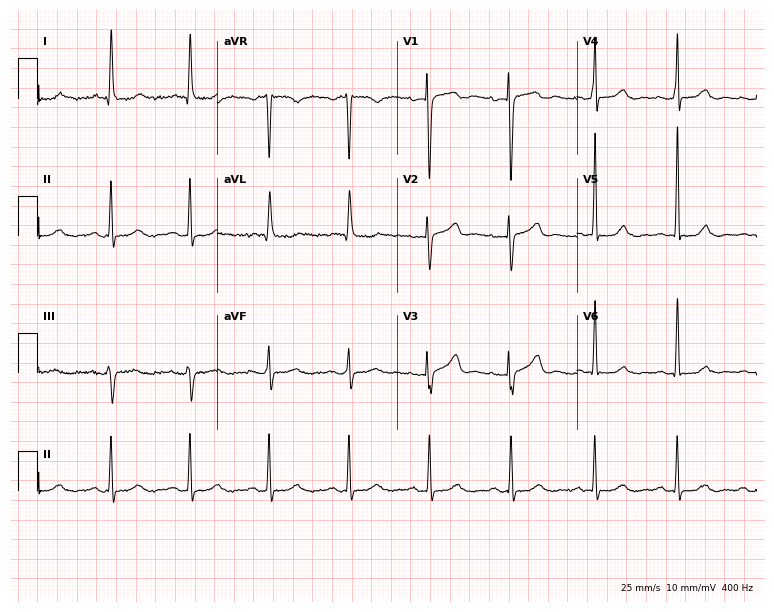
Standard 12-lead ECG recorded from a 71-year-old female patient (7.3-second recording at 400 Hz). None of these six findings is recorded: first-degree AV block, right bundle branch block, left bundle branch block, sinus bradycardia, atrial fibrillation, sinus tachycardia. Findings outside these six are not listed.